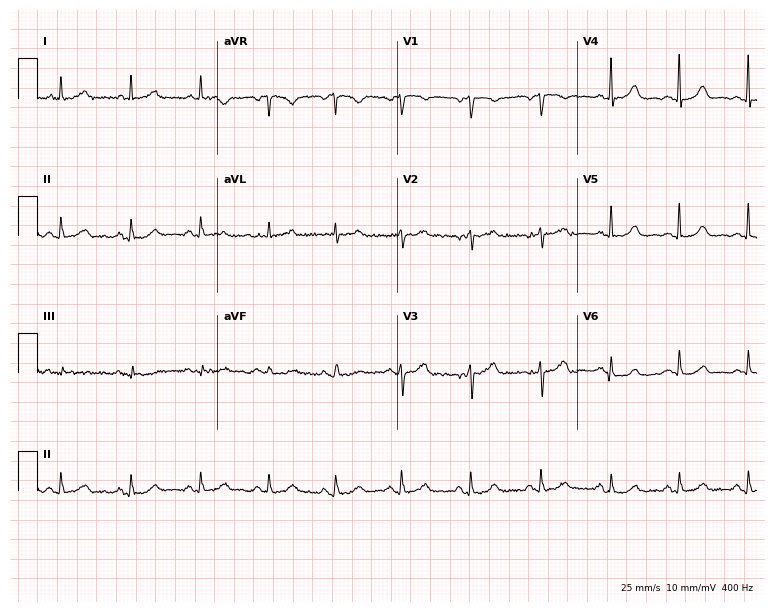
ECG (7.3-second recording at 400 Hz) — a female, 68 years old. Labelled as a normal ECG.